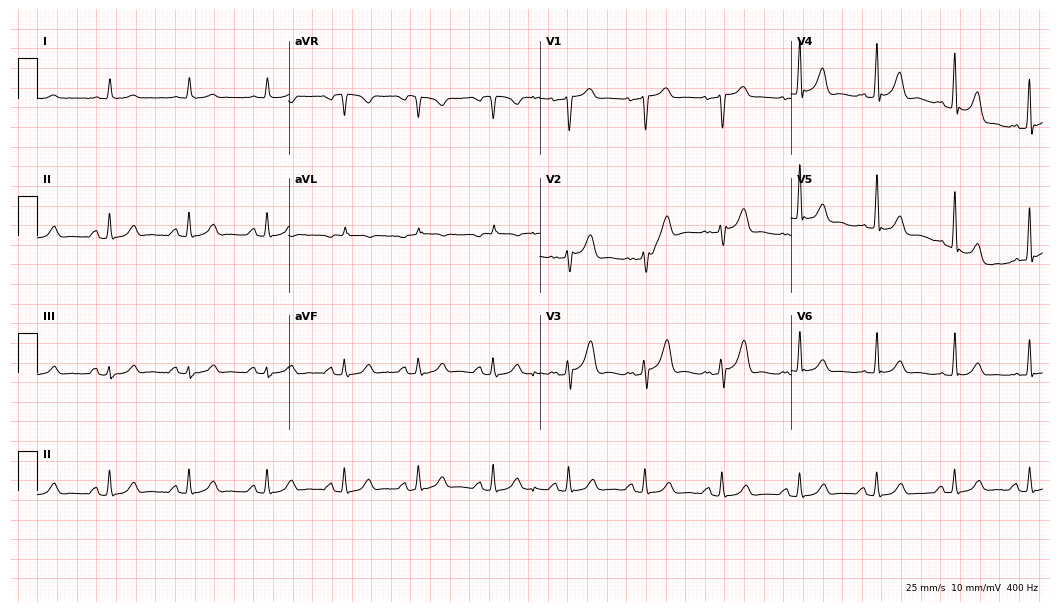
12-lead ECG (10.2-second recording at 400 Hz) from a man, 63 years old. Labelled as a normal ECG.